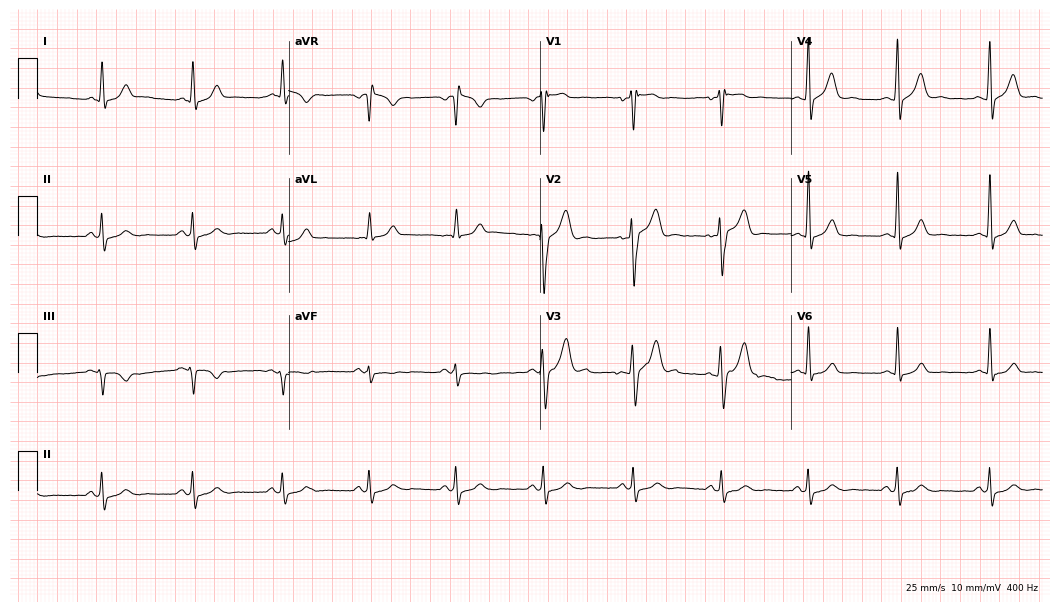
Electrocardiogram (10.2-second recording at 400 Hz), a man, 37 years old. Of the six screened findings (first-degree AV block, right bundle branch block (RBBB), left bundle branch block (LBBB), sinus bradycardia, atrial fibrillation (AF), sinus tachycardia), none is recorded.